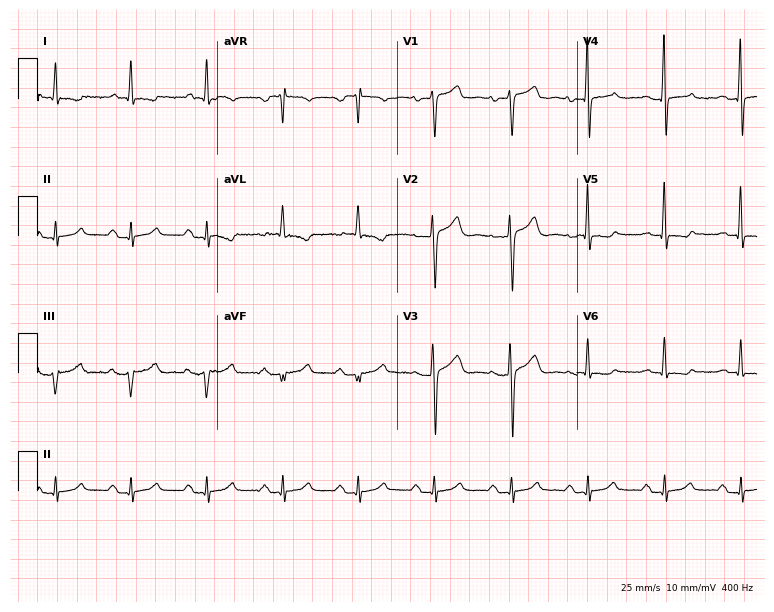
12-lead ECG (7.3-second recording at 400 Hz) from a man, 60 years old. Screened for six findings — first-degree AV block, right bundle branch block, left bundle branch block, sinus bradycardia, atrial fibrillation, sinus tachycardia — none is recorded.